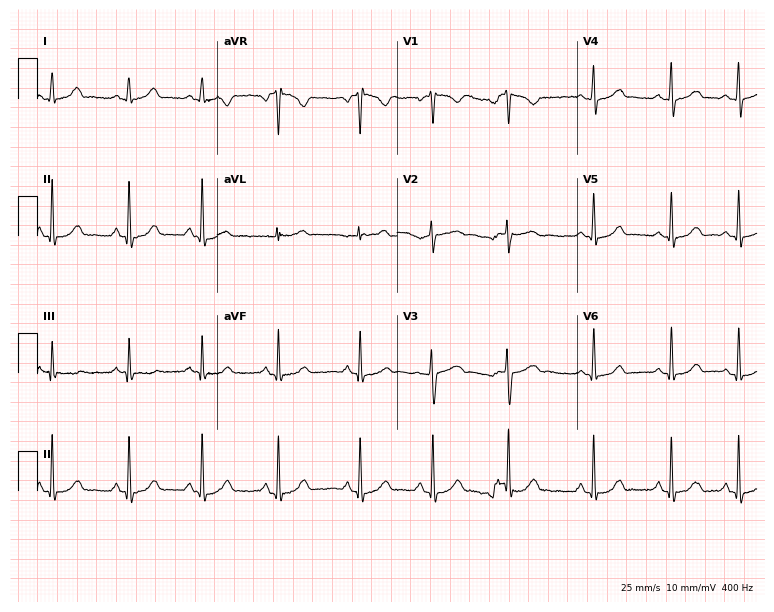
Standard 12-lead ECG recorded from a female patient, 27 years old (7.3-second recording at 400 Hz). Read as a normal ECG.